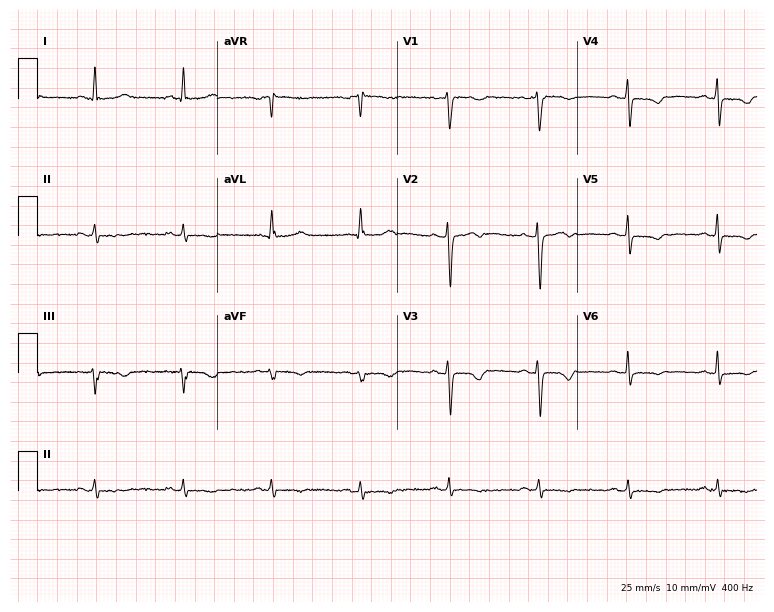
Standard 12-lead ECG recorded from a female, 48 years old. None of these six findings is recorded: first-degree AV block, right bundle branch block (RBBB), left bundle branch block (LBBB), sinus bradycardia, atrial fibrillation (AF), sinus tachycardia. Findings outside these six are not listed.